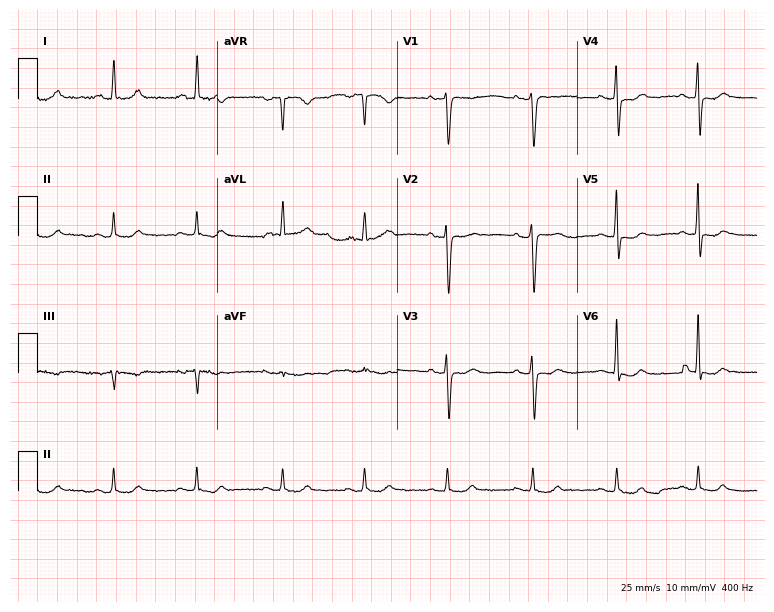
Electrocardiogram, a female, 60 years old. Of the six screened findings (first-degree AV block, right bundle branch block (RBBB), left bundle branch block (LBBB), sinus bradycardia, atrial fibrillation (AF), sinus tachycardia), none is recorded. Only these six findings were labelled.